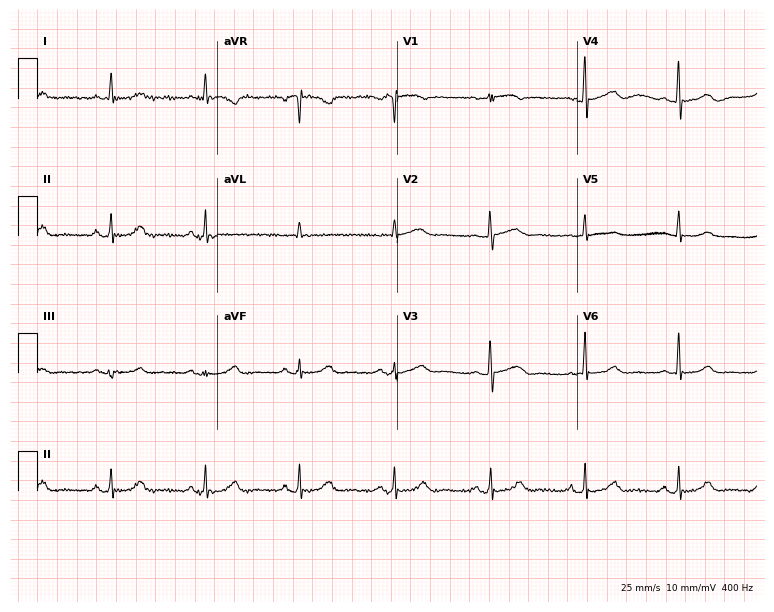
12-lead ECG from a female patient, 81 years old (7.3-second recording at 400 Hz). Recorded interpretation: within normal limits.